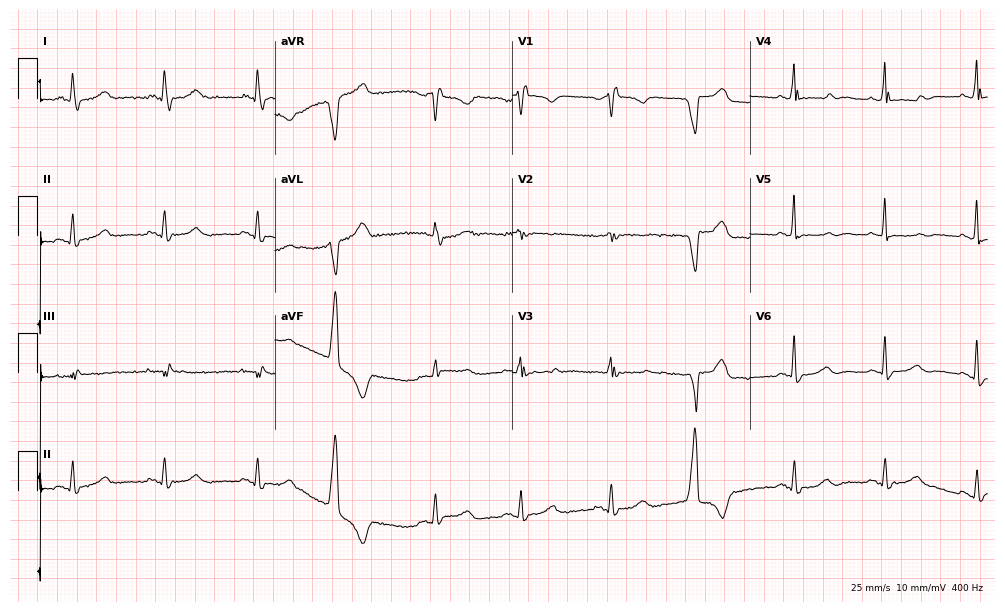
ECG (9.7-second recording at 400 Hz) — a 73-year-old female. Findings include right bundle branch block.